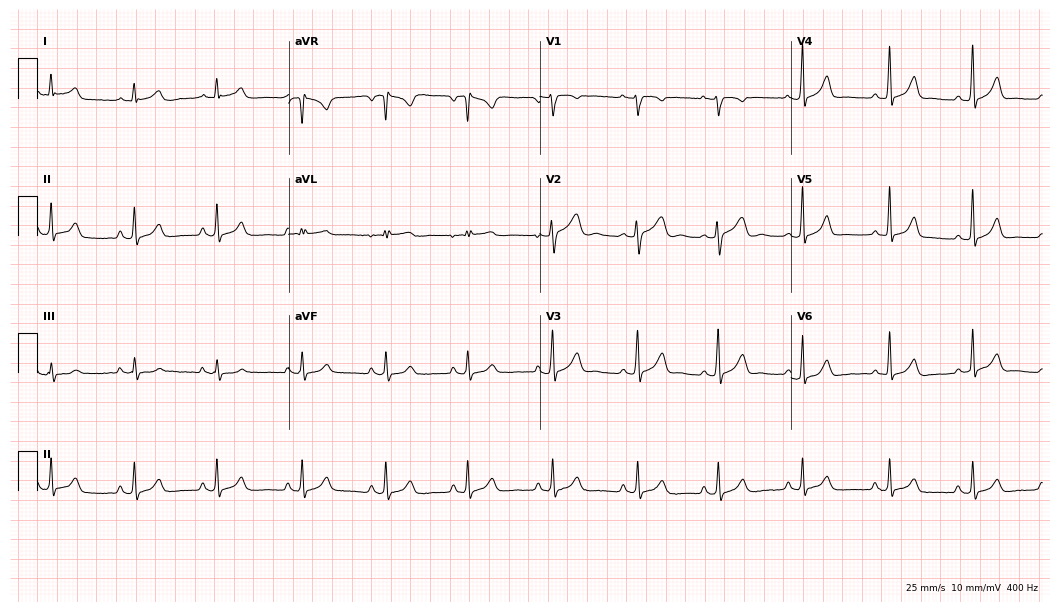
Standard 12-lead ECG recorded from a 30-year-old woman. None of these six findings is recorded: first-degree AV block, right bundle branch block, left bundle branch block, sinus bradycardia, atrial fibrillation, sinus tachycardia.